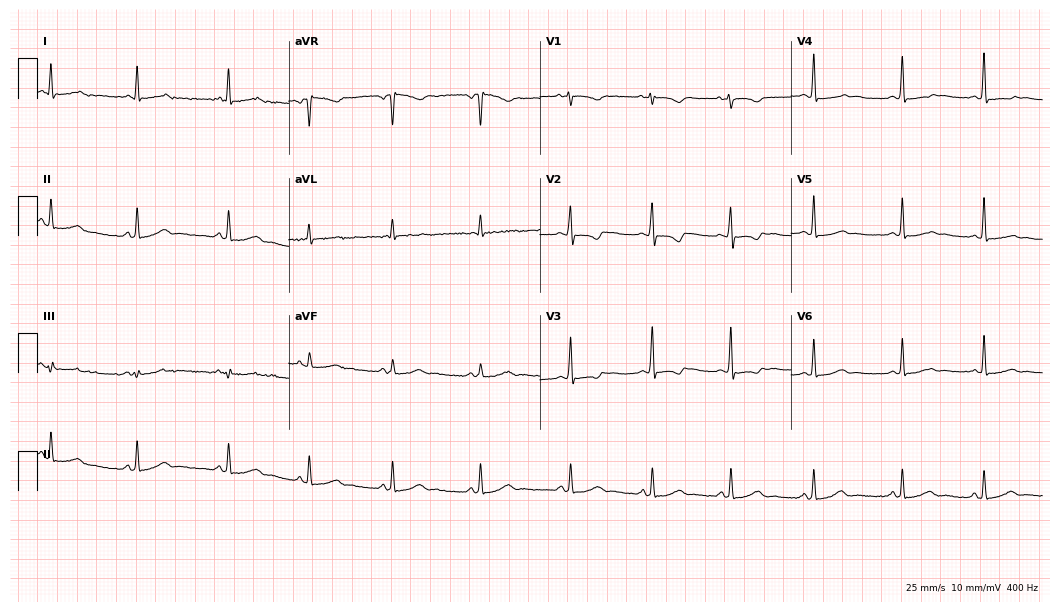
Electrocardiogram, a 39-year-old woman. Of the six screened findings (first-degree AV block, right bundle branch block (RBBB), left bundle branch block (LBBB), sinus bradycardia, atrial fibrillation (AF), sinus tachycardia), none is recorded. Other findings, if any, are not listed.